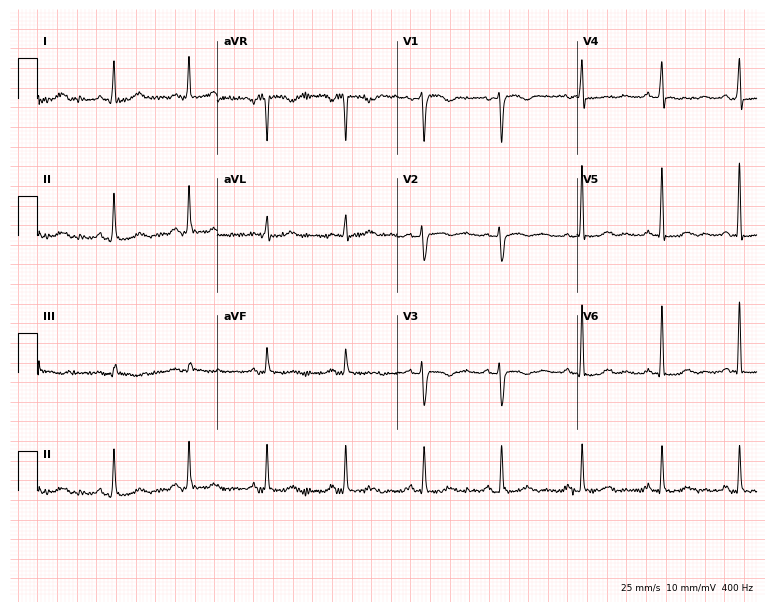
Standard 12-lead ECG recorded from a female, 53 years old. None of these six findings is recorded: first-degree AV block, right bundle branch block (RBBB), left bundle branch block (LBBB), sinus bradycardia, atrial fibrillation (AF), sinus tachycardia.